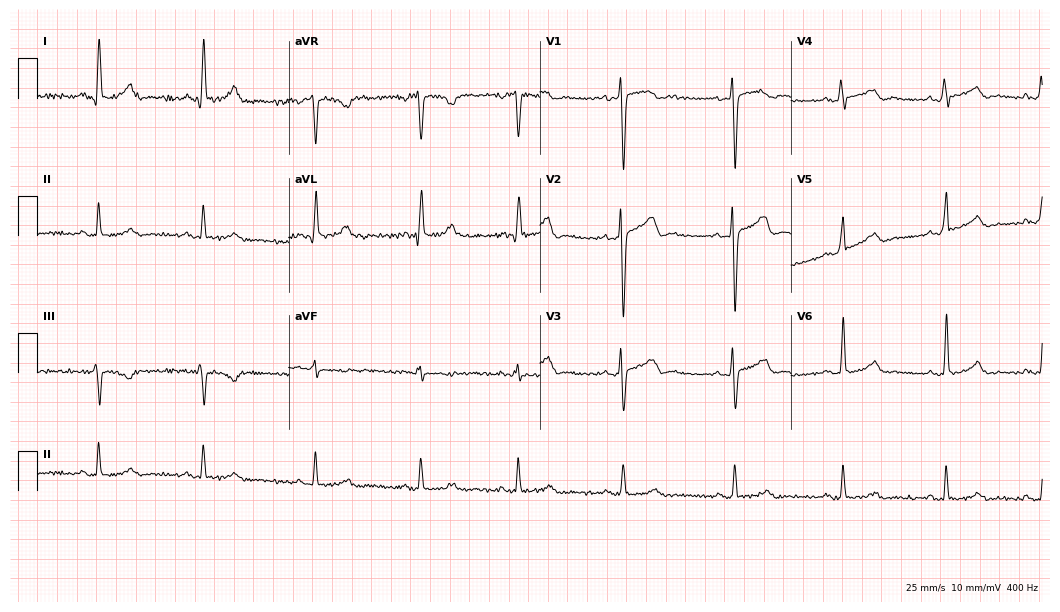
ECG — a 26-year-old male patient. Labelled as a normal ECG.